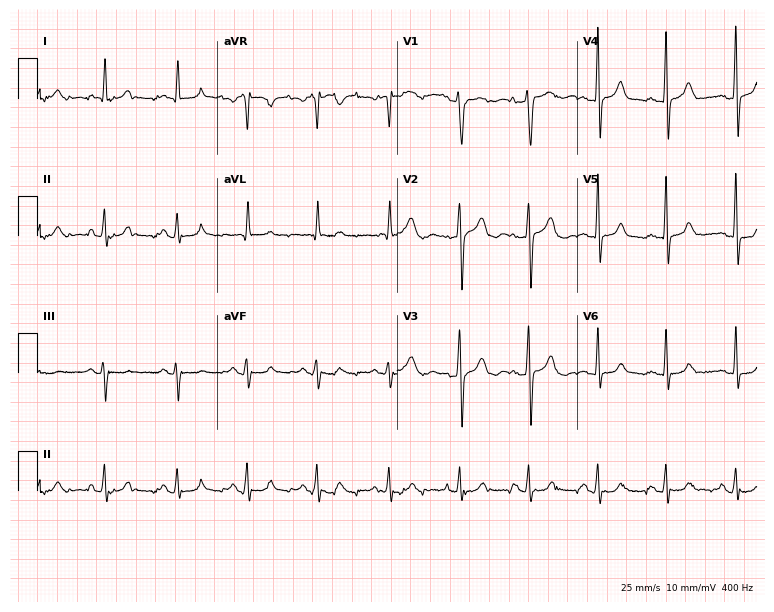
Resting 12-lead electrocardiogram (7.3-second recording at 400 Hz). Patient: a male, 75 years old. None of these six findings is recorded: first-degree AV block, right bundle branch block, left bundle branch block, sinus bradycardia, atrial fibrillation, sinus tachycardia.